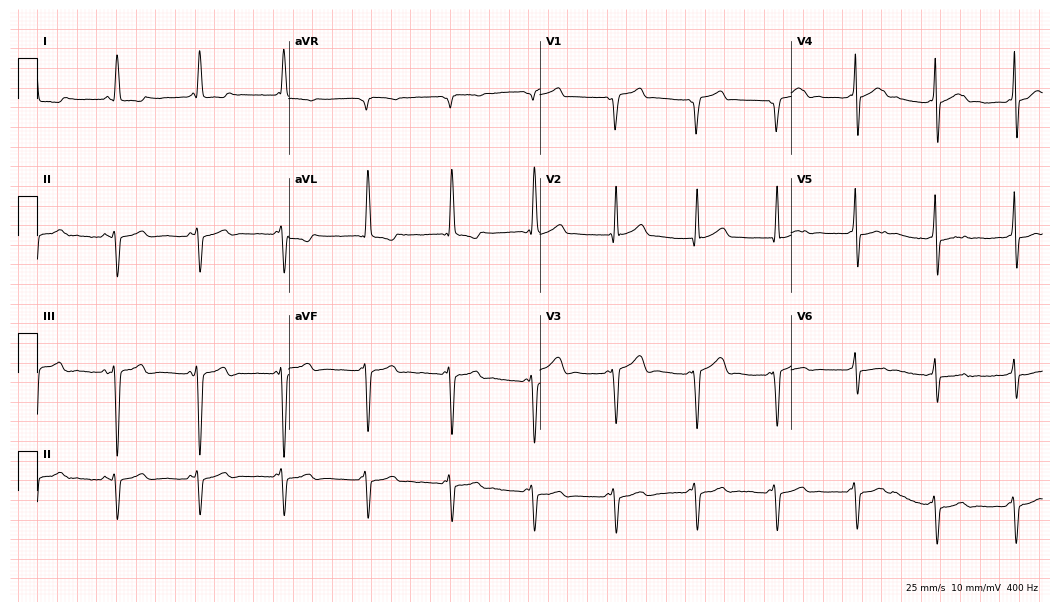
ECG (10.2-second recording at 400 Hz) — an 83-year-old male. Findings include left bundle branch block (LBBB).